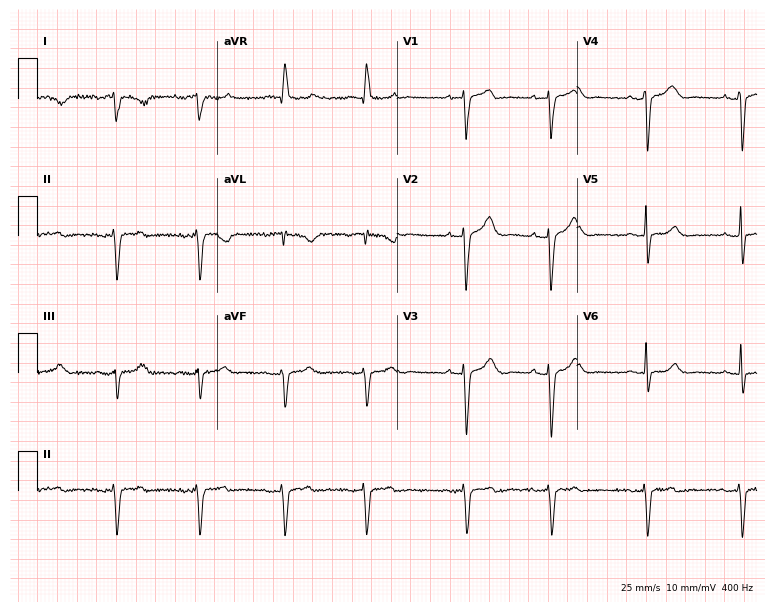
Standard 12-lead ECG recorded from a 72-year-old woman. None of these six findings is recorded: first-degree AV block, right bundle branch block, left bundle branch block, sinus bradycardia, atrial fibrillation, sinus tachycardia. Other findings, if any, are not listed.